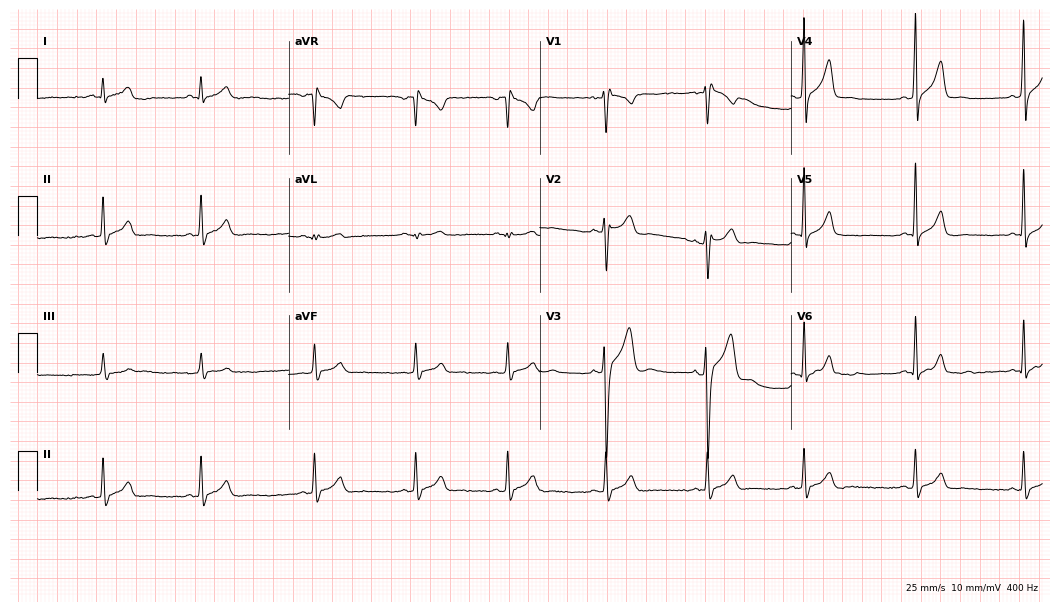
12-lead ECG from a 32-year-old male. No first-degree AV block, right bundle branch block, left bundle branch block, sinus bradycardia, atrial fibrillation or sinus tachycardia recorded for this tracing.